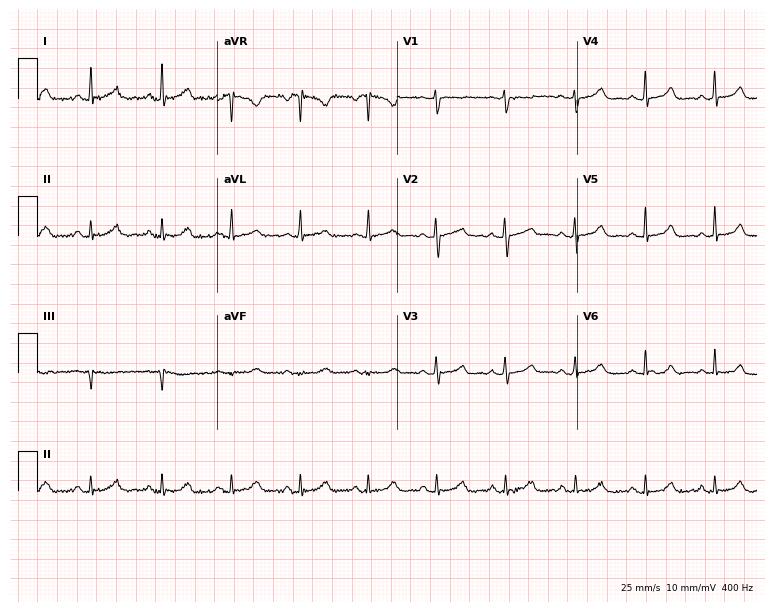
12-lead ECG from a female, 37 years old (7.3-second recording at 400 Hz). Recorded interpretation: within normal limits.